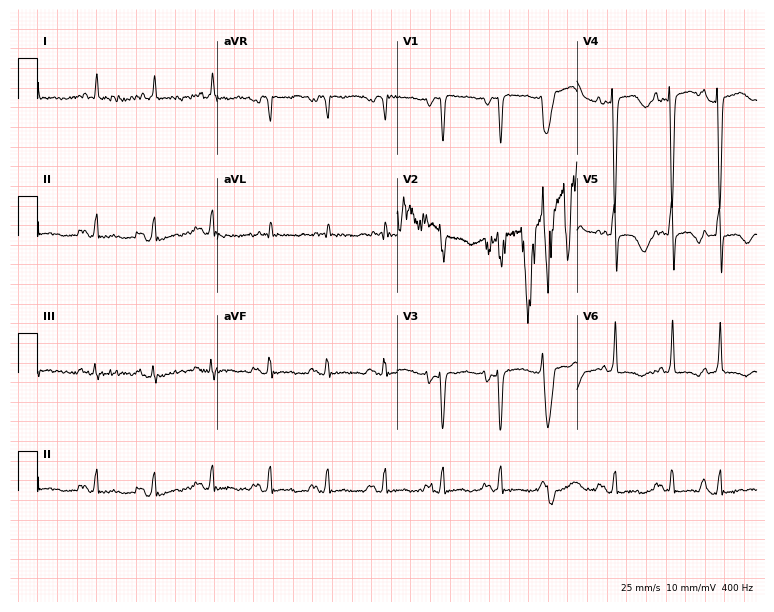
ECG — a 63-year-old woman. Findings include sinus tachycardia (a sinus rate of 100 beats per minute or more).